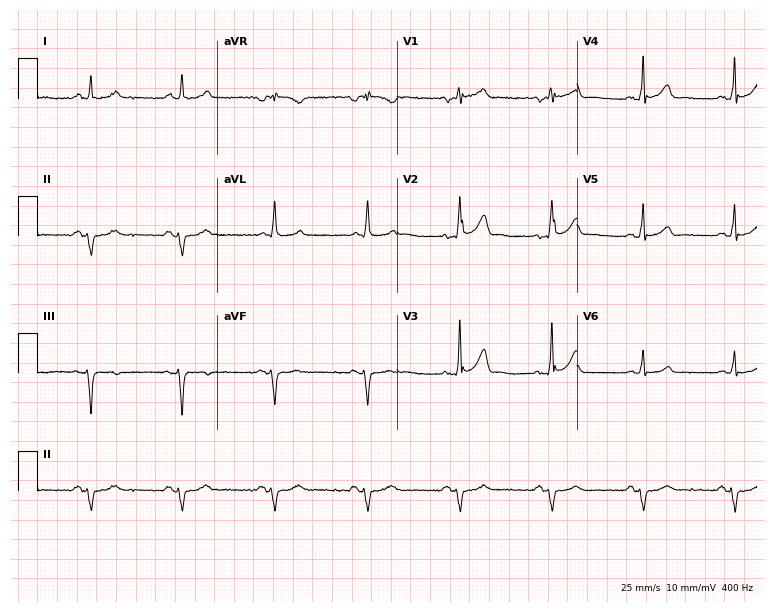
ECG (7.3-second recording at 400 Hz) — a 60-year-old man. Screened for six findings — first-degree AV block, right bundle branch block (RBBB), left bundle branch block (LBBB), sinus bradycardia, atrial fibrillation (AF), sinus tachycardia — none is recorded. Other findings, if any, are not listed.